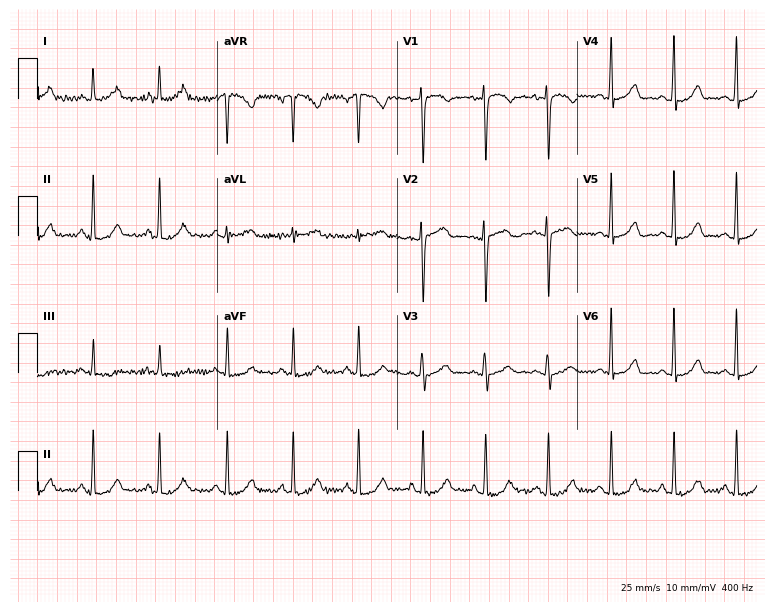
ECG — a woman, 32 years old. Labelled as a normal ECG.